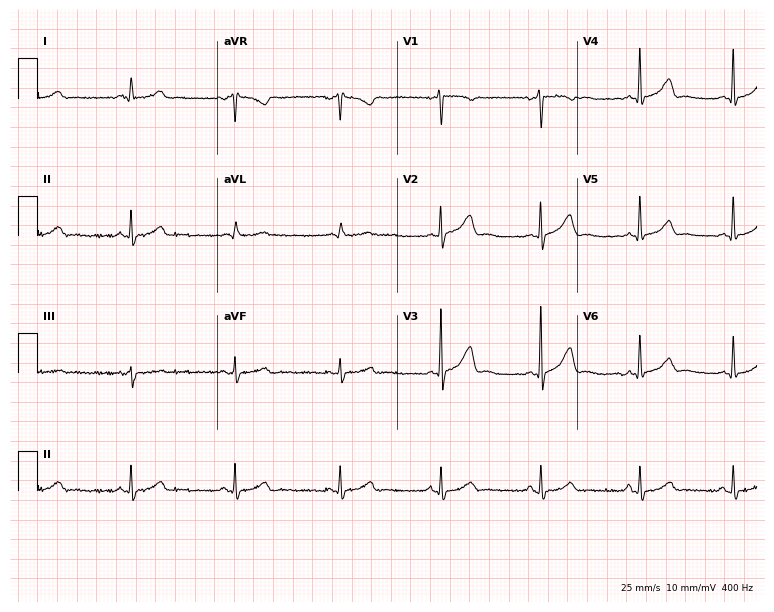
Standard 12-lead ECG recorded from a 34-year-old female. Read as a normal ECG.